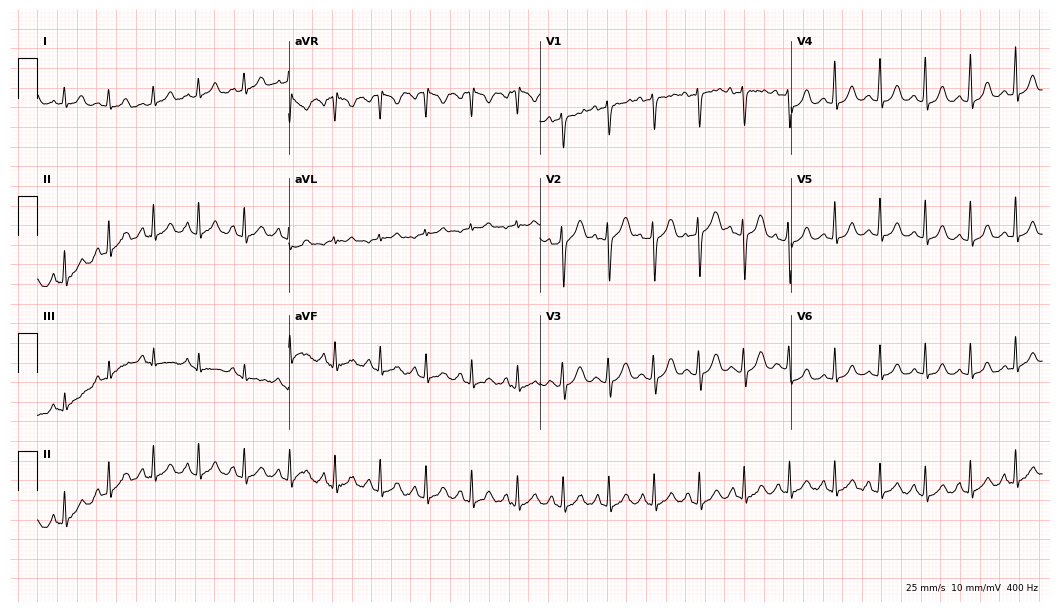
12-lead ECG from a female patient, 17 years old. Shows sinus tachycardia (a sinus rate of 100 beats per minute or more).